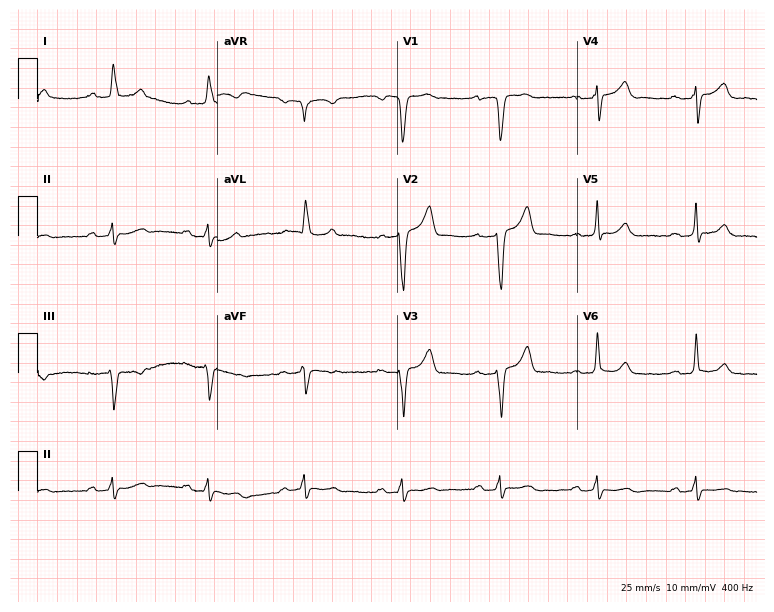
12-lead ECG (7.3-second recording at 400 Hz) from a 44-year-old man. Findings include first-degree AV block.